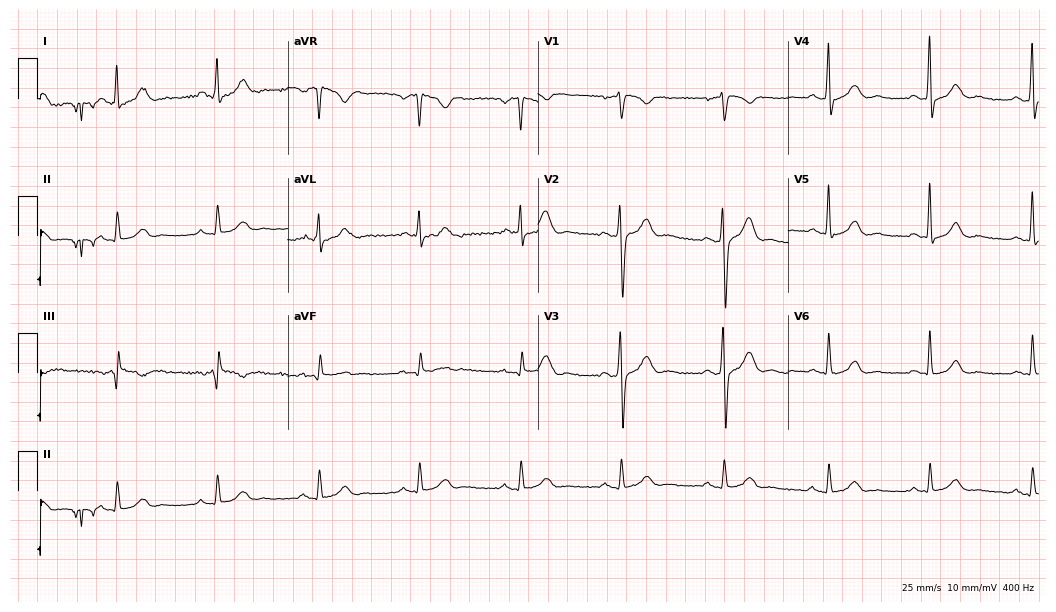
Resting 12-lead electrocardiogram (10.2-second recording at 400 Hz). Patient: a 47-year-old male. None of these six findings is recorded: first-degree AV block, right bundle branch block (RBBB), left bundle branch block (LBBB), sinus bradycardia, atrial fibrillation (AF), sinus tachycardia. Other findings, if any, are not listed.